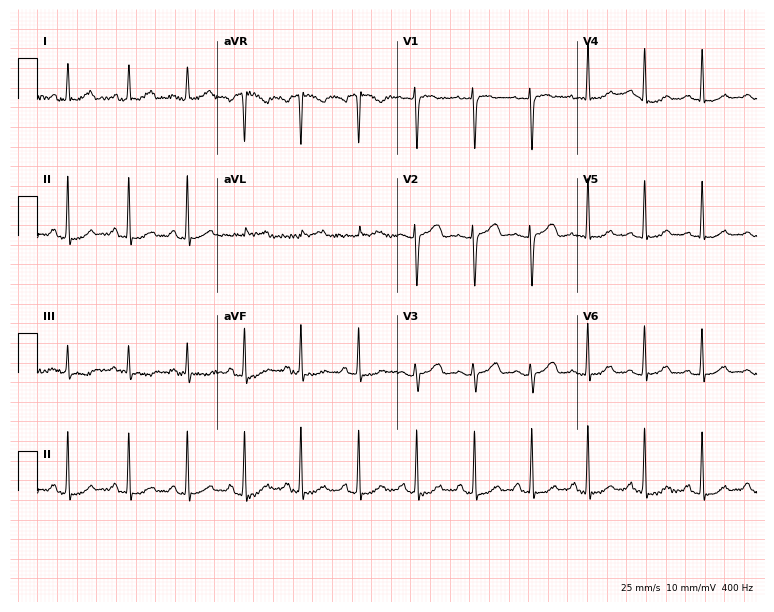
Electrocardiogram (7.3-second recording at 400 Hz), a 30-year-old woman. Interpretation includes sinus tachycardia (a sinus rate of 100 beats per minute or more).